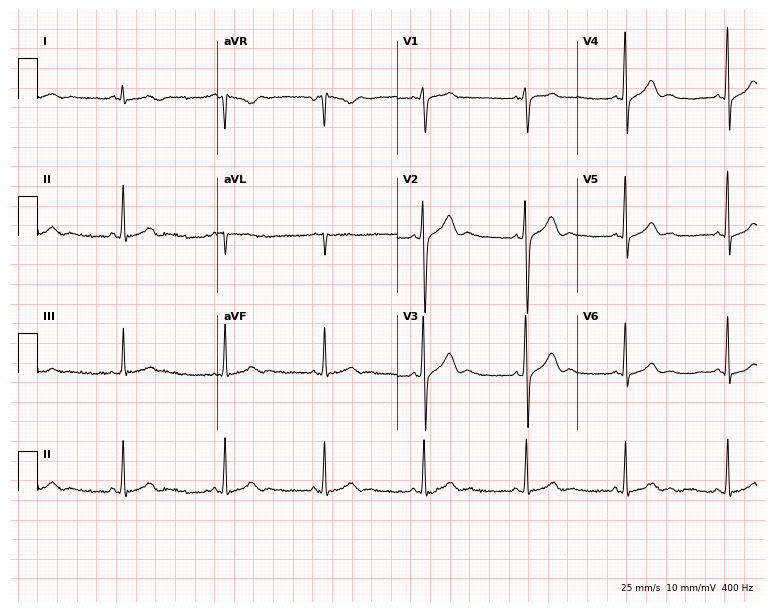
12-lead ECG from an 18-year-old male patient (7.3-second recording at 400 Hz). Recorded interpretation: within normal limits.